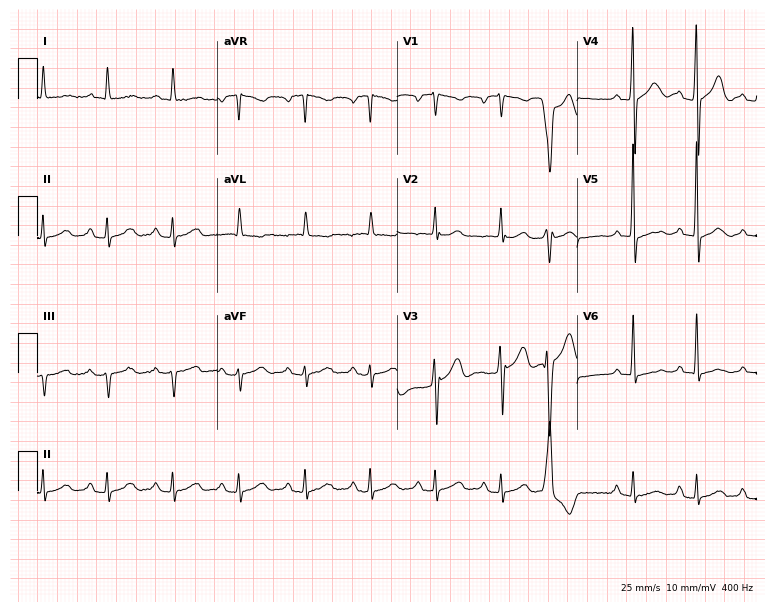
Standard 12-lead ECG recorded from an 81-year-old female patient. None of these six findings is recorded: first-degree AV block, right bundle branch block (RBBB), left bundle branch block (LBBB), sinus bradycardia, atrial fibrillation (AF), sinus tachycardia. Findings outside these six are not listed.